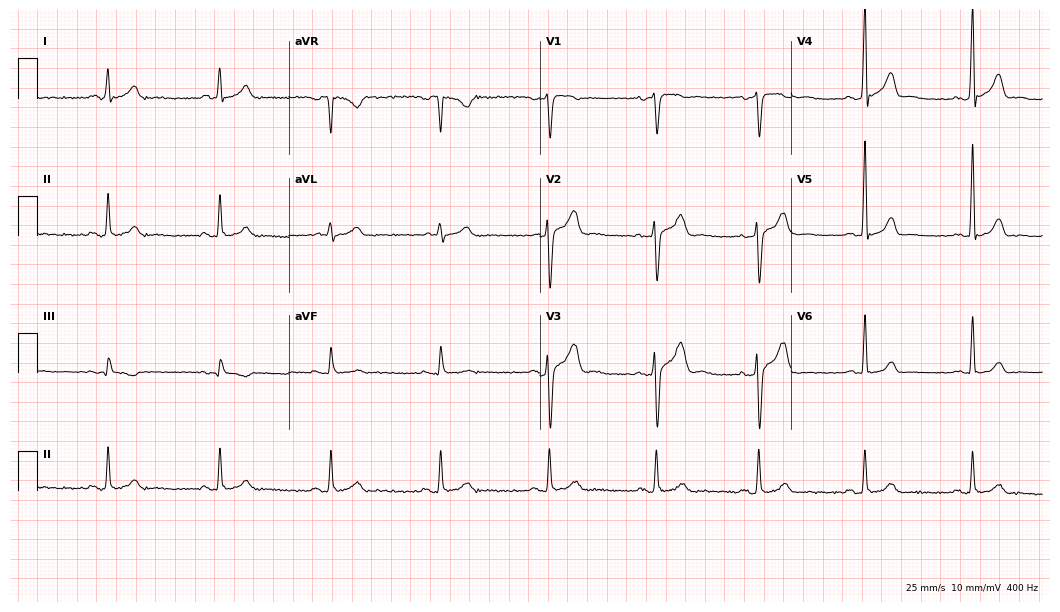
Standard 12-lead ECG recorded from a 45-year-old male. Read as a normal ECG.